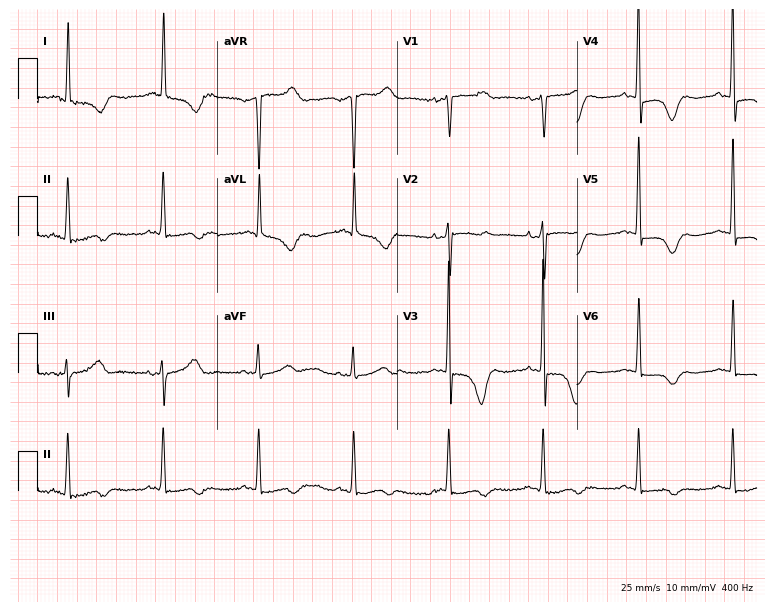
ECG — a woman, 69 years old. Screened for six findings — first-degree AV block, right bundle branch block, left bundle branch block, sinus bradycardia, atrial fibrillation, sinus tachycardia — none is recorded.